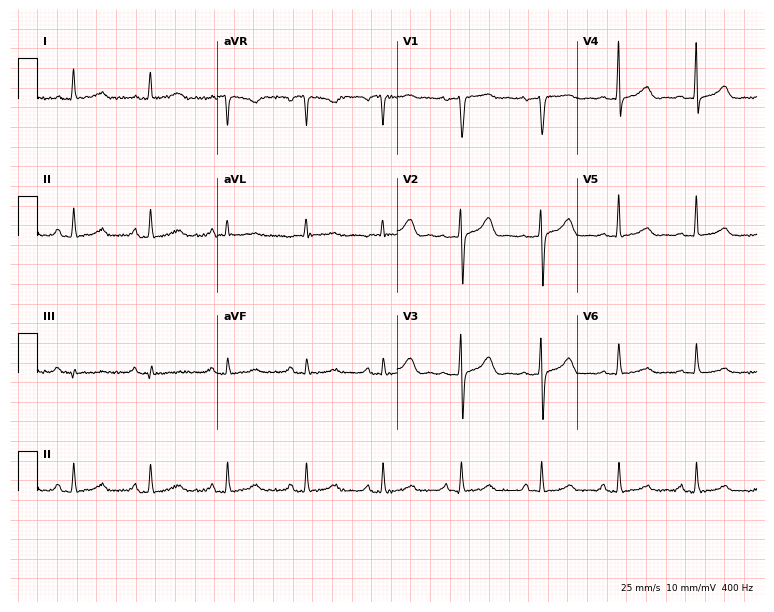
12-lead ECG from a woman, 57 years old (7.3-second recording at 400 Hz). No first-degree AV block, right bundle branch block (RBBB), left bundle branch block (LBBB), sinus bradycardia, atrial fibrillation (AF) or sinus tachycardia recorded for this tracing.